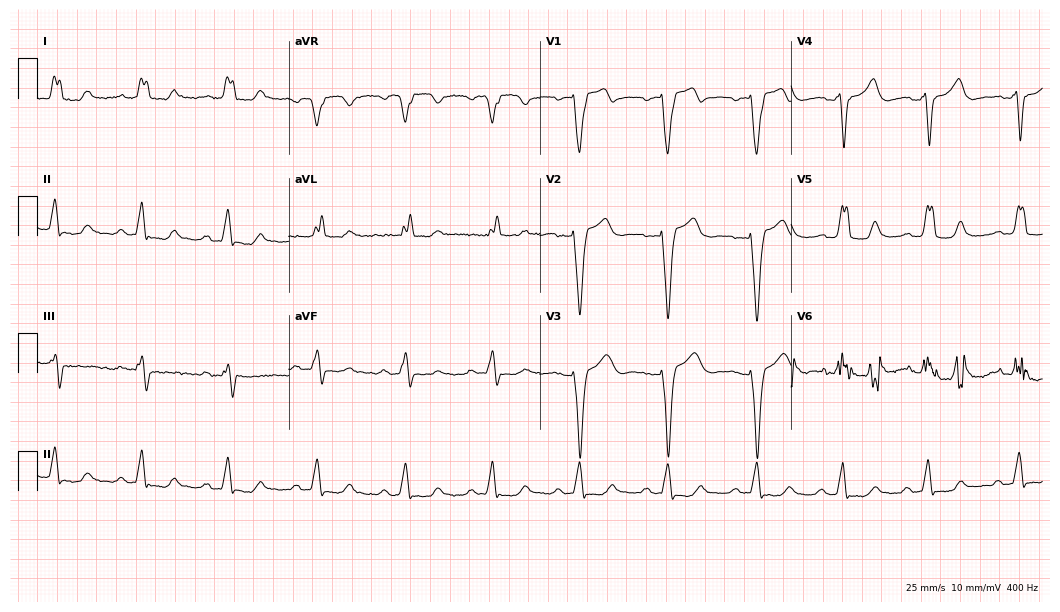
ECG — a 67-year-old female patient. Screened for six findings — first-degree AV block, right bundle branch block (RBBB), left bundle branch block (LBBB), sinus bradycardia, atrial fibrillation (AF), sinus tachycardia — none is recorded. Only these six findings were labelled.